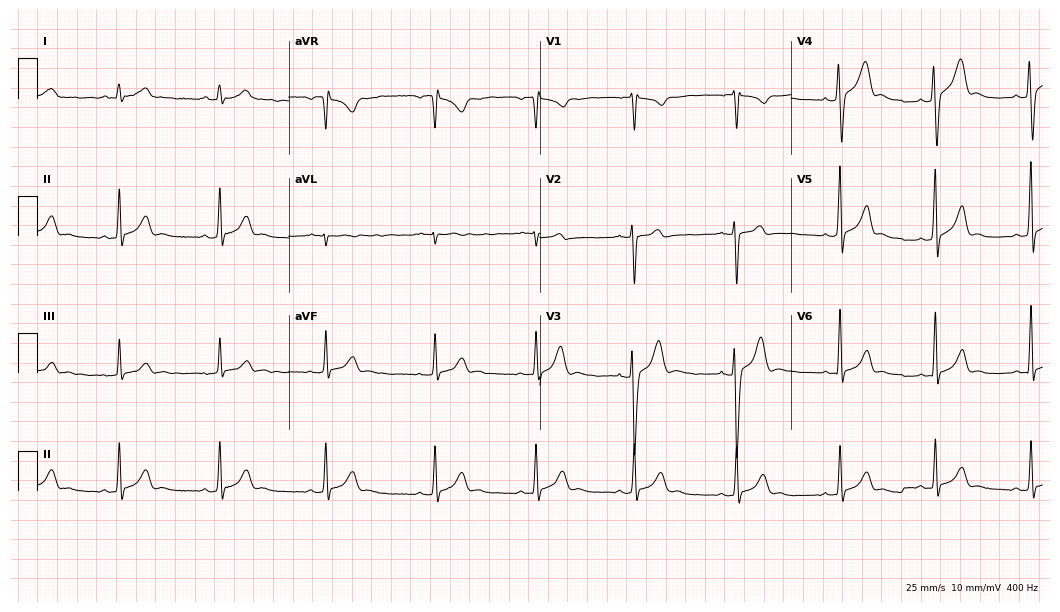
ECG — a man, 18 years old. Labelled as a normal ECG.